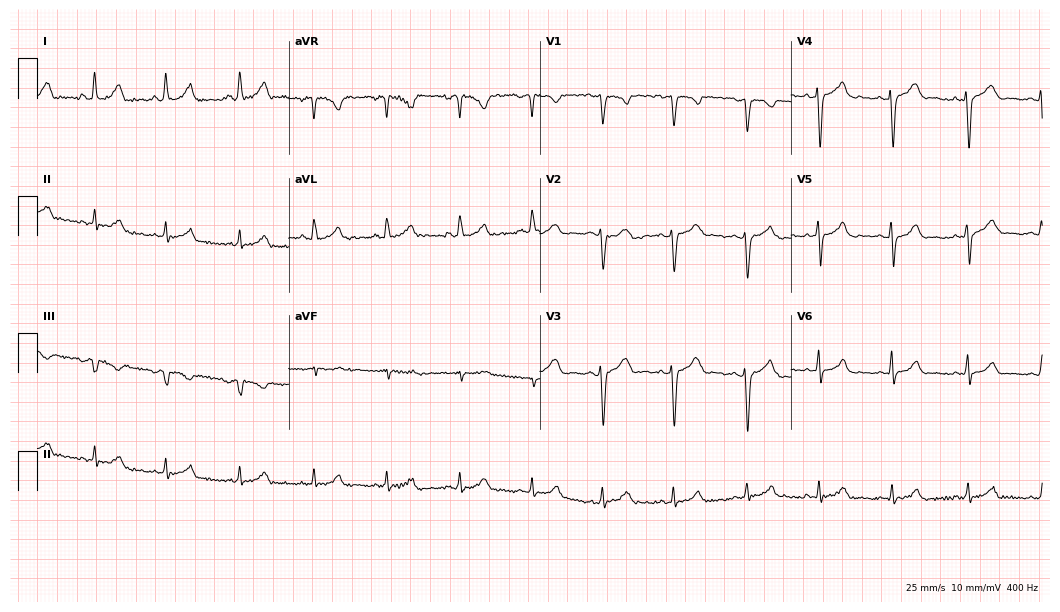
12-lead ECG (10.2-second recording at 400 Hz) from a woman, 28 years old. Labelled as a normal ECG.